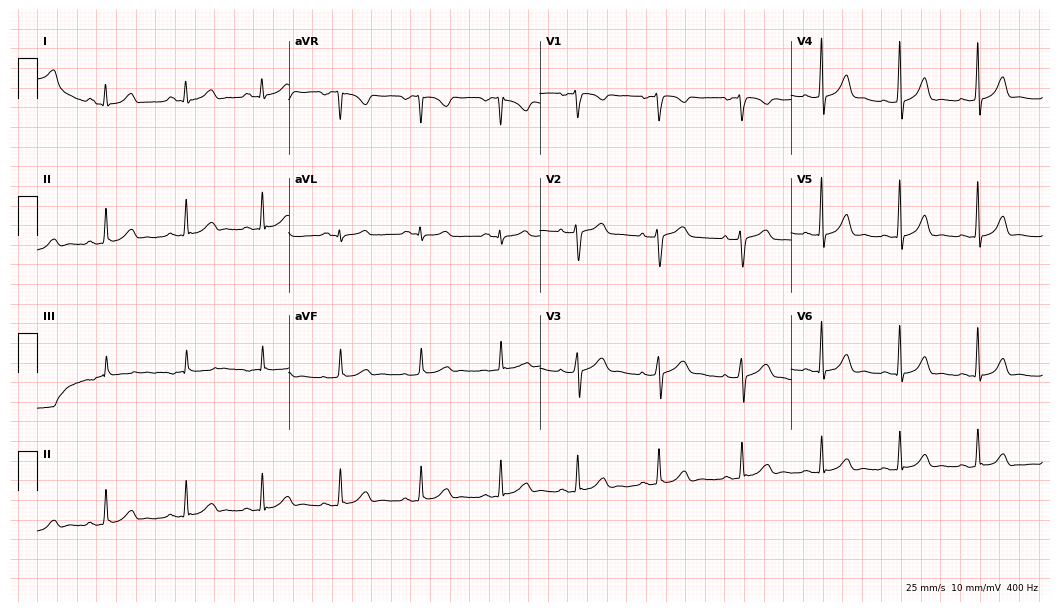
Standard 12-lead ECG recorded from a female, 41 years old (10.2-second recording at 400 Hz). None of these six findings is recorded: first-degree AV block, right bundle branch block, left bundle branch block, sinus bradycardia, atrial fibrillation, sinus tachycardia.